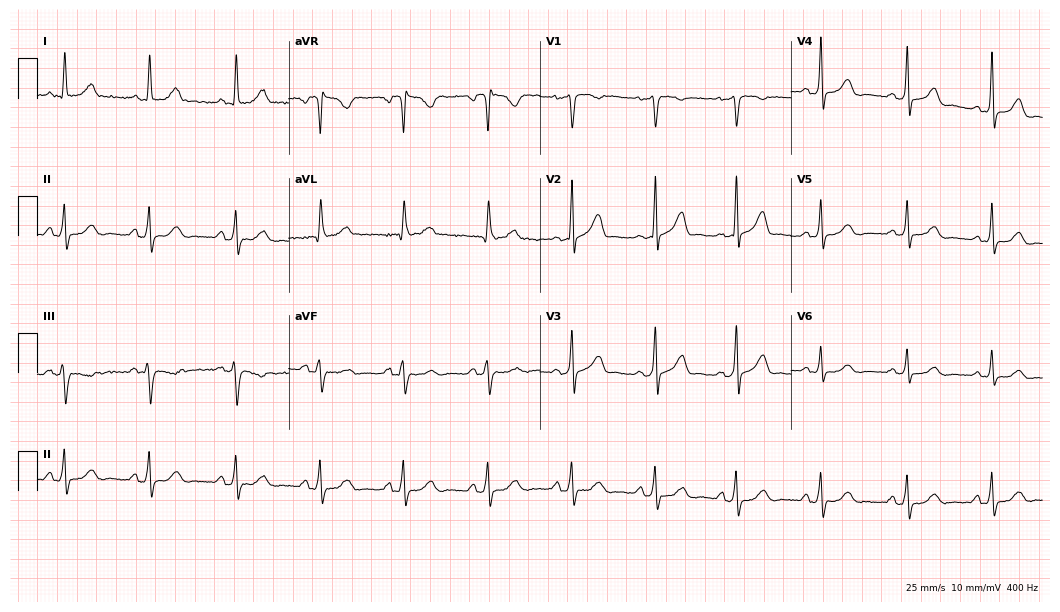
Resting 12-lead electrocardiogram (10.2-second recording at 400 Hz). Patient: a 60-year-old woman. None of these six findings is recorded: first-degree AV block, right bundle branch block, left bundle branch block, sinus bradycardia, atrial fibrillation, sinus tachycardia. Findings outside these six are not listed.